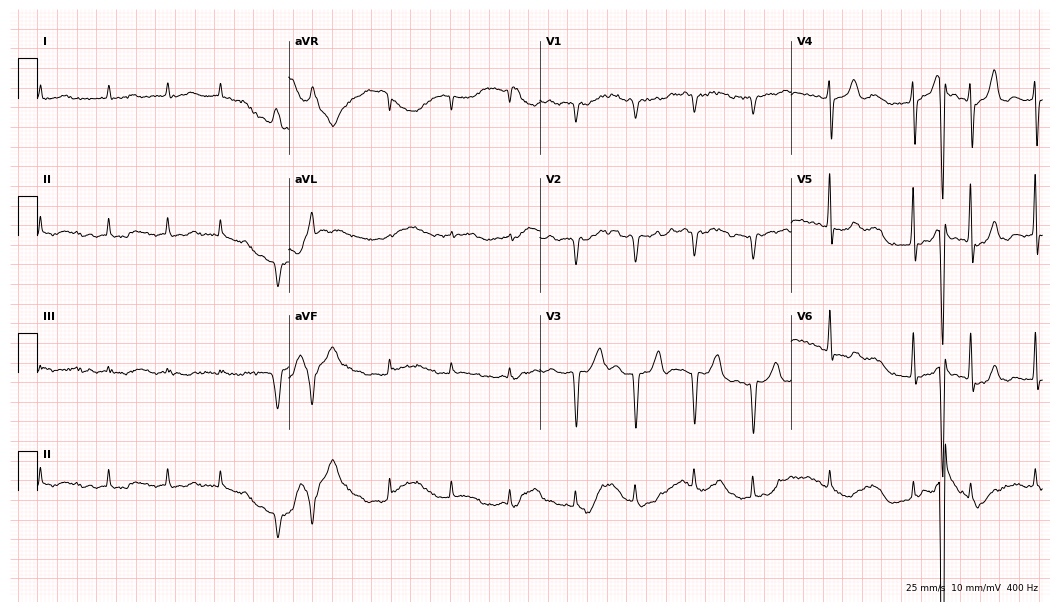
Resting 12-lead electrocardiogram. Patient: an 82-year-old male. None of these six findings is recorded: first-degree AV block, right bundle branch block (RBBB), left bundle branch block (LBBB), sinus bradycardia, atrial fibrillation (AF), sinus tachycardia. Findings outside these six are not listed.